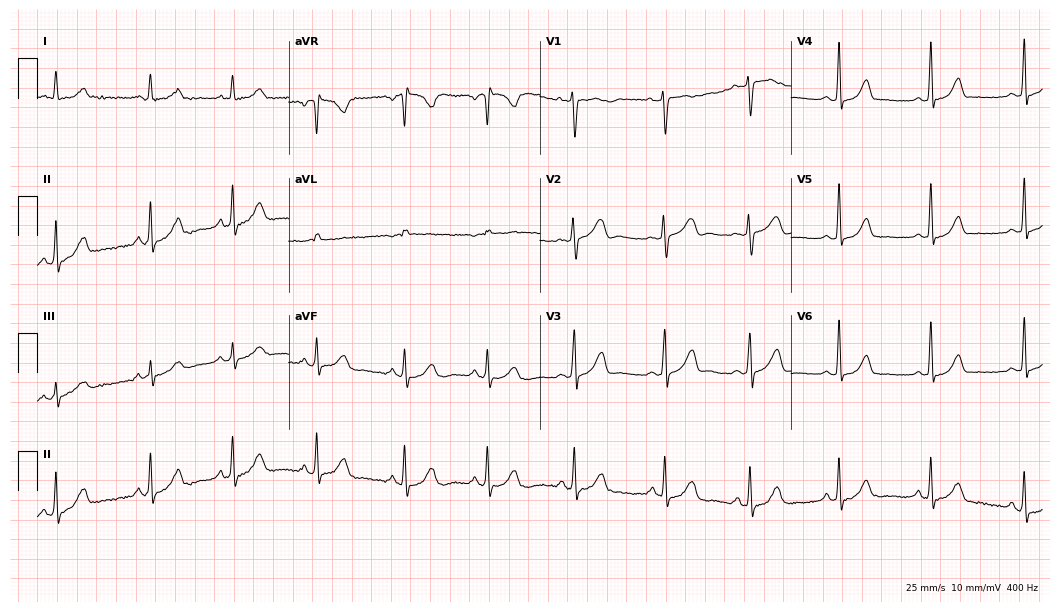
12-lead ECG from a woman, 34 years old. Labelled as a normal ECG.